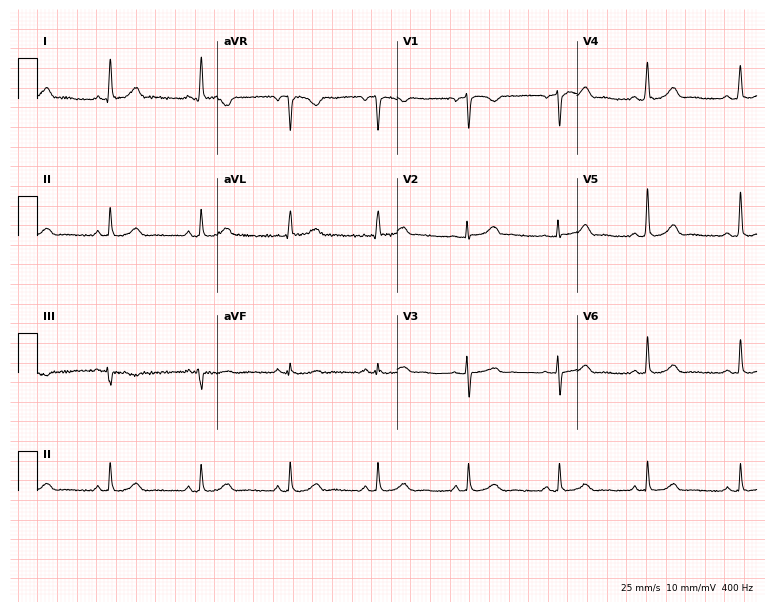
Electrocardiogram (7.3-second recording at 400 Hz), a 61-year-old female. Overall reading on record: normal ECG.